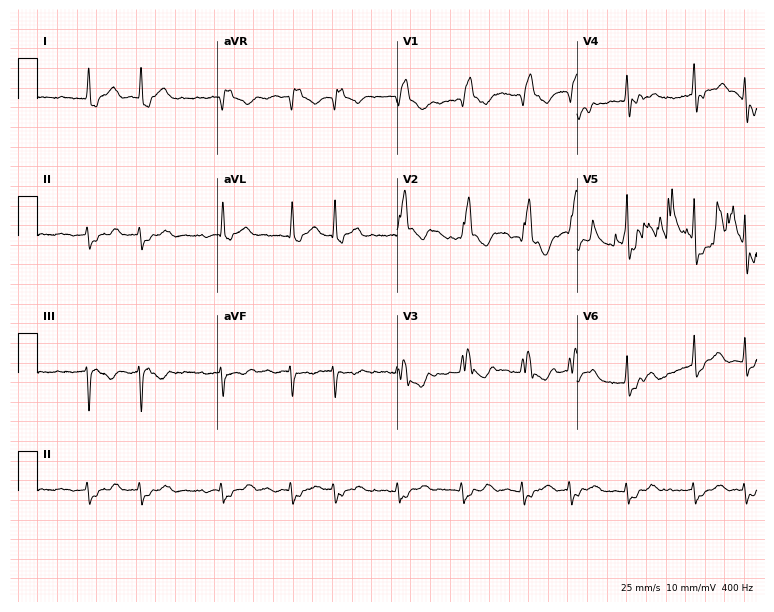
ECG — a male, 75 years old. Findings include right bundle branch block (RBBB), atrial fibrillation (AF).